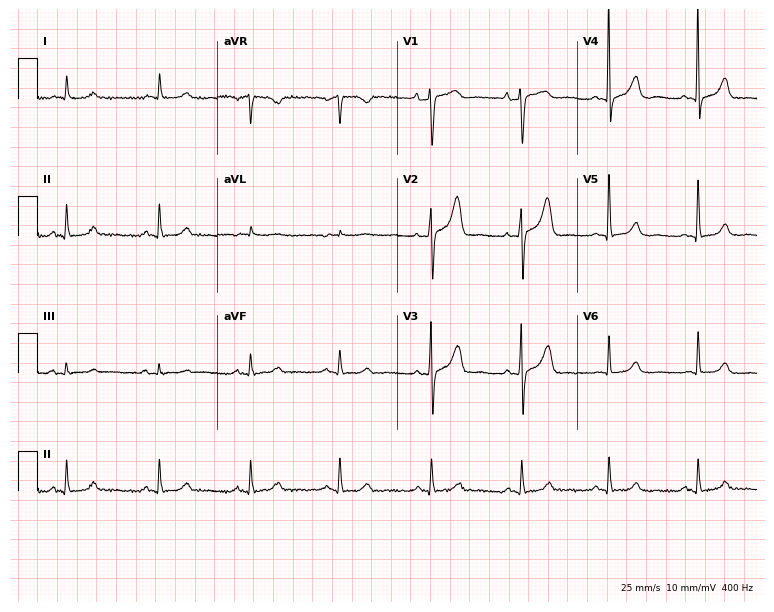
Resting 12-lead electrocardiogram. Patient: a woman, 84 years old. None of these six findings is recorded: first-degree AV block, right bundle branch block, left bundle branch block, sinus bradycardia, atrial fibrillation, sinus tachycardia.